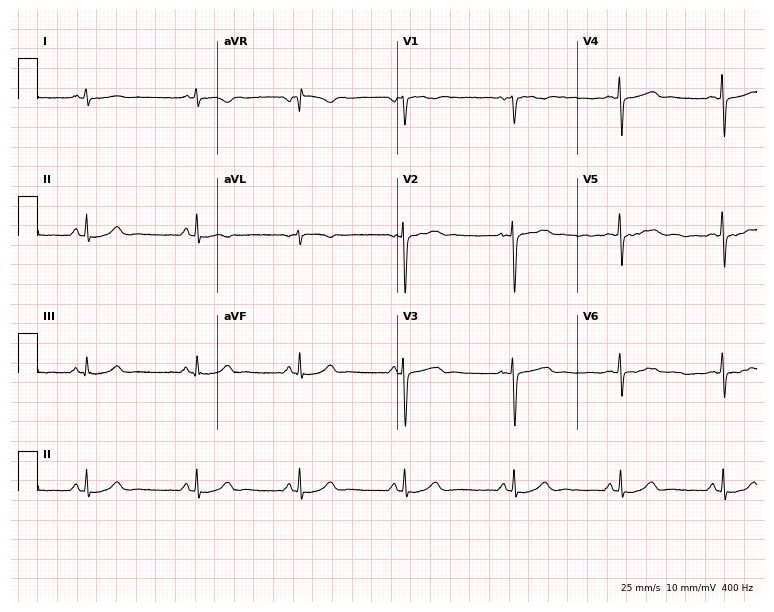
Resting 12-lead electrocardiogram. Patient: a female, 34 years old. None of these six findings is recorded: first-degree AV block, right bundle branch block, left bundle branch block, sinus bradycardia, atrial fibrillation, sinus tachycardia.